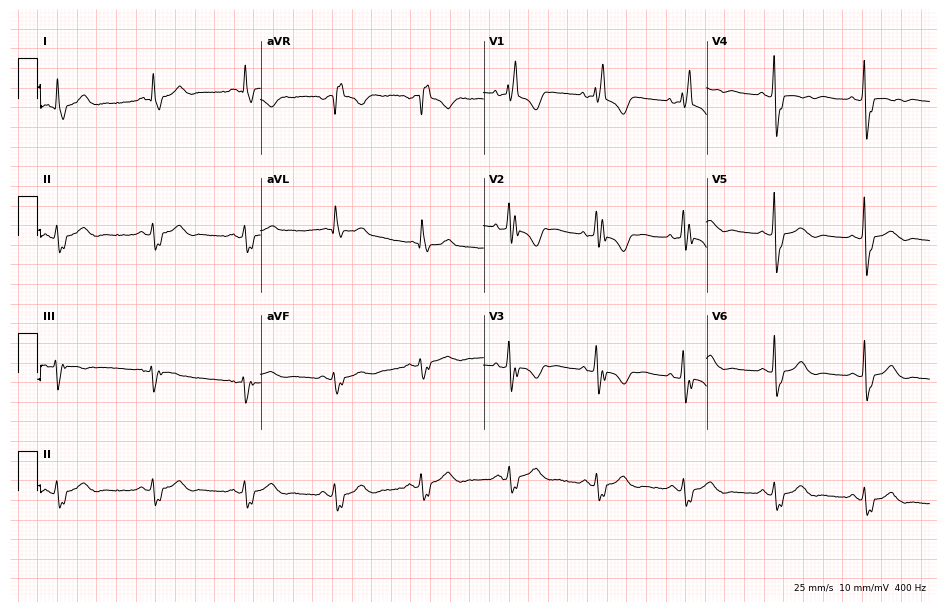
Resting 12-lead electrocardiogram (9.1-second recording at 400 Hz). Patient: a 53-year-old female. None of these six findings is recorded: first-degree AV block, right bundle branch block, left bundle branch block, sinus bradycardia, atrial fibrillation, sinus tachycardia. Other findings, if any, are not listed.